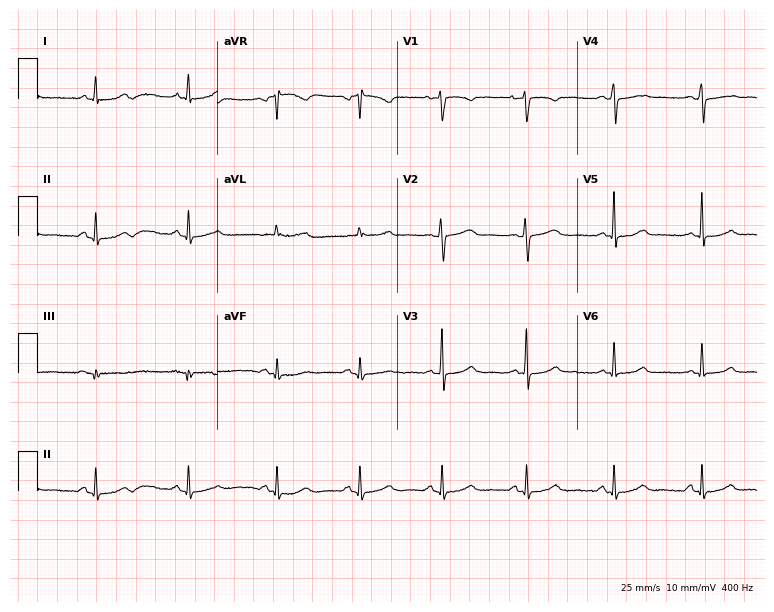
Electrocardiogram, a female, 32 years old. Overall reading on record: normal ECG.